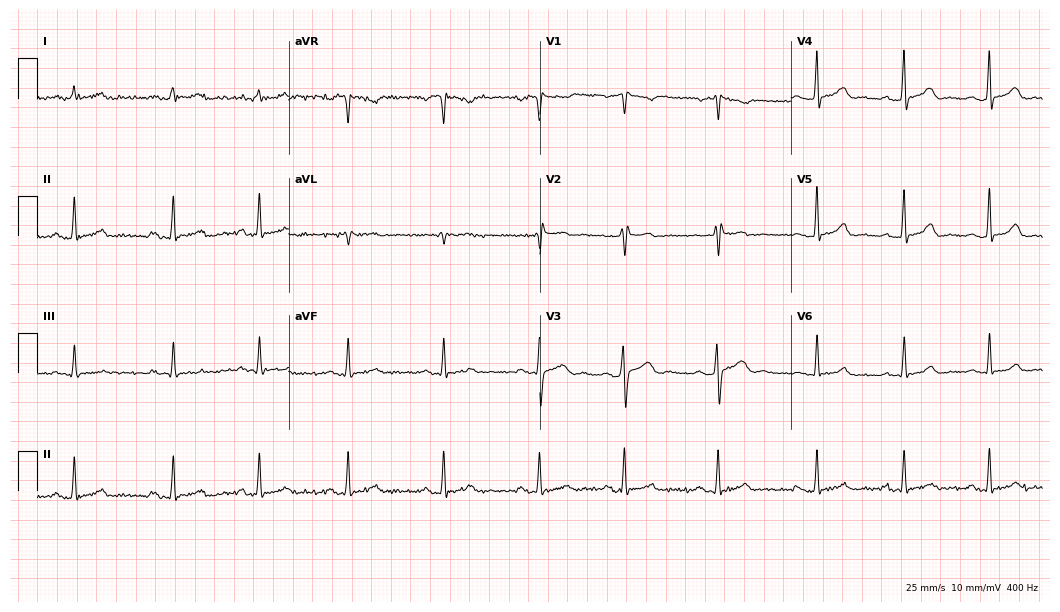
12-lead ECG from a 30-year-old woman. Labelled as a normal ECG.